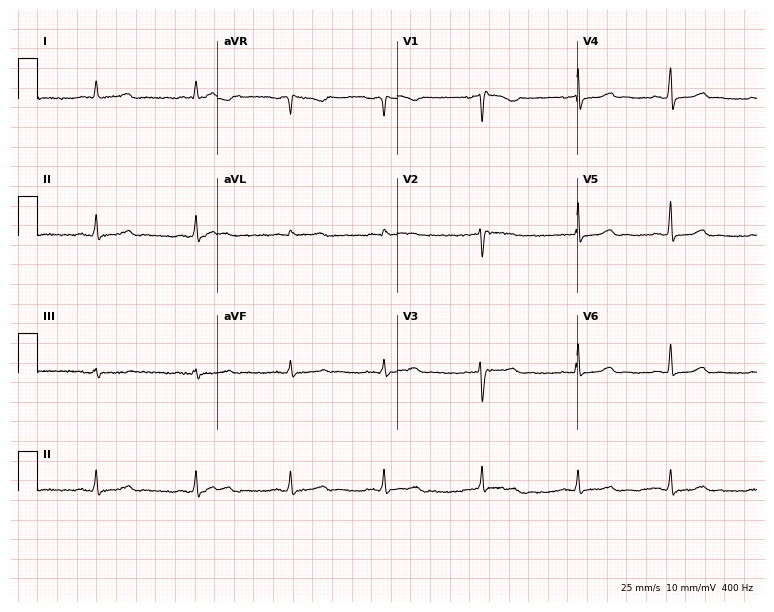
Standard 12-lead ECG recorded from a 50-year-old woman. Read as a normal ECG.